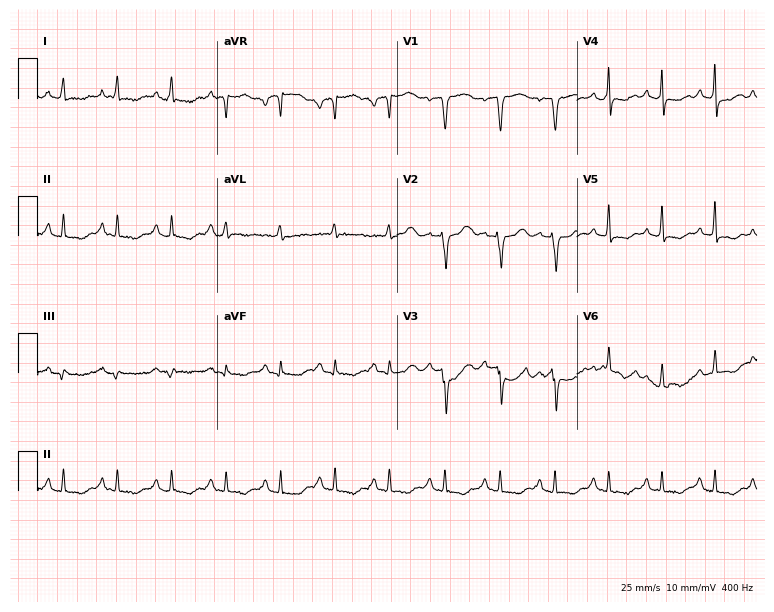
ECG — a 67-year-old woman. Findings include sinus tachycardia (a sinus rate of 100 beats per minute or more).